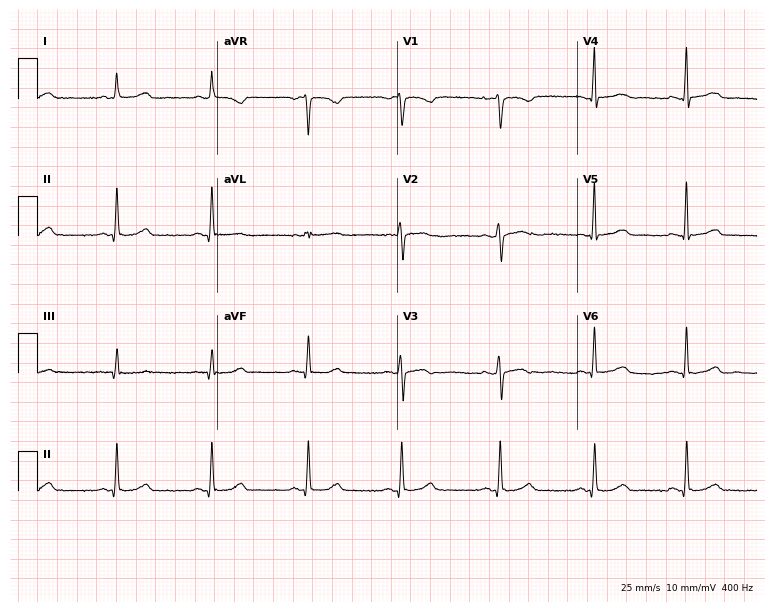
Standard 12-lead ECG recorded from a woman, 38 years old. Read as a normal ECG.